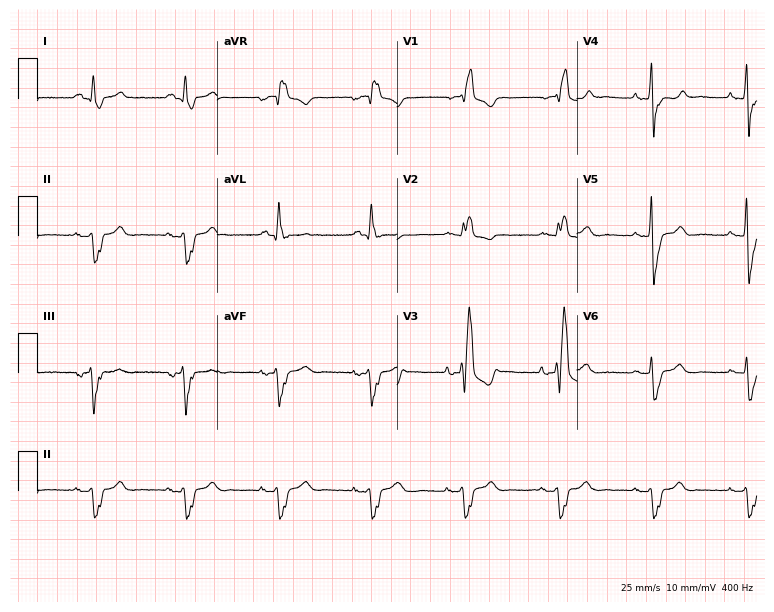
ECG — an 85-year-old man. Findings include right bundle branch block.